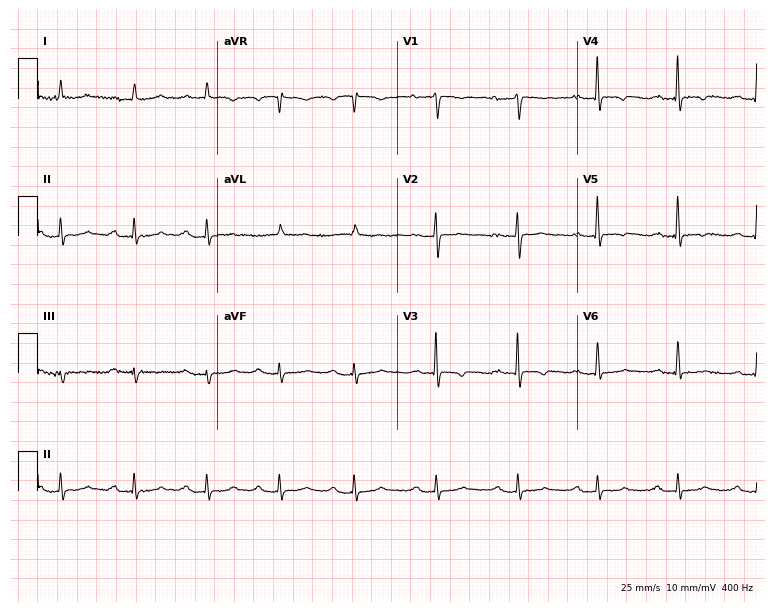
Electrocardiogram (7.3-second recording at 400 Hz), a female, 80 years old. Interpretation includes first-degree AV block.